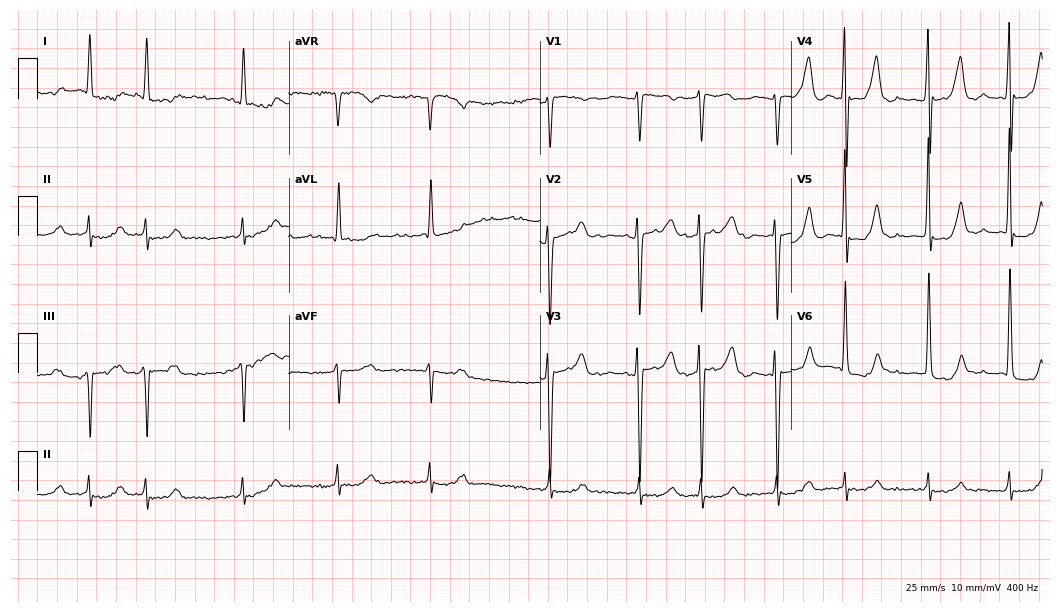
Standard 12-lead ECG recorded from an 84-year-old female (10.2-second recording at 400 Hz). The tracing shows first-degree AV block, atrial fibrillation (AF).